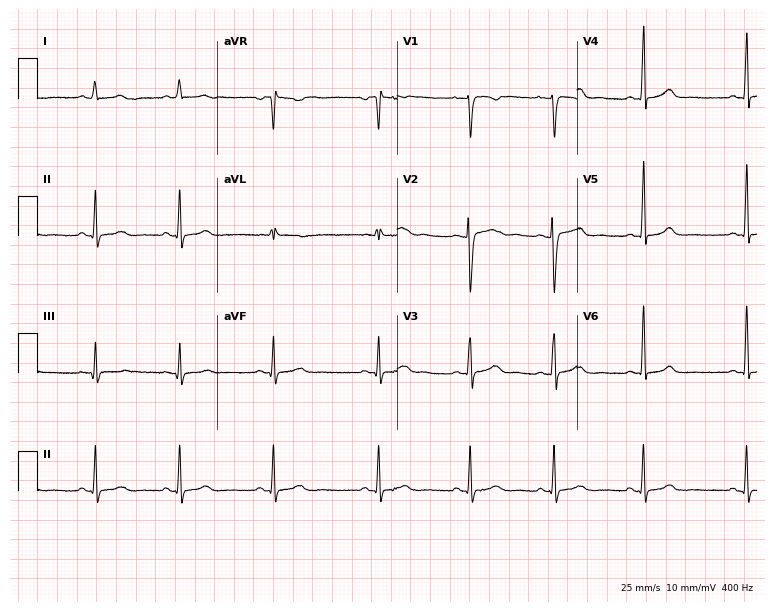
Electrocardiogram, a female patient, 21 years old. Overall reading on record: normal ECG.